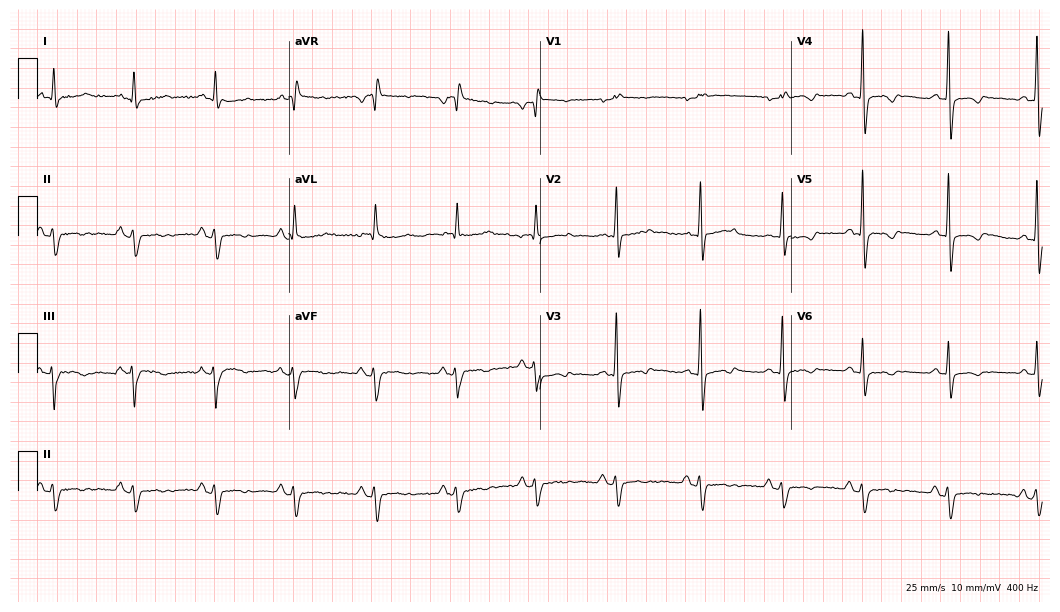
12-lead ECG from a 65-year-old female. No first-degree AV block, right bundle branch block (RBBB), left bundle branch block (LBBB), sinus bradycardia, atrial fibrillation (AF) or sinus tachycardia recorded for this tracing. Findings outside these six are not listed.